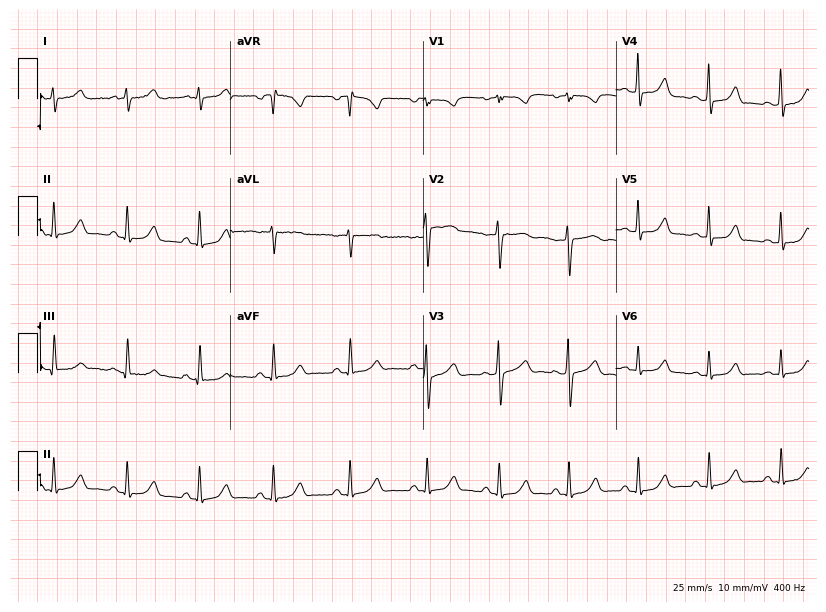
12-lead ECG from a 27-year-old woman. Screened for six findings — first-degree AV block, right bundle branch block, left bundle branch block, sinus bradycardia, atrial fibrillation, sinus tachycardia — none is recorded. Only these six findings were labelled.